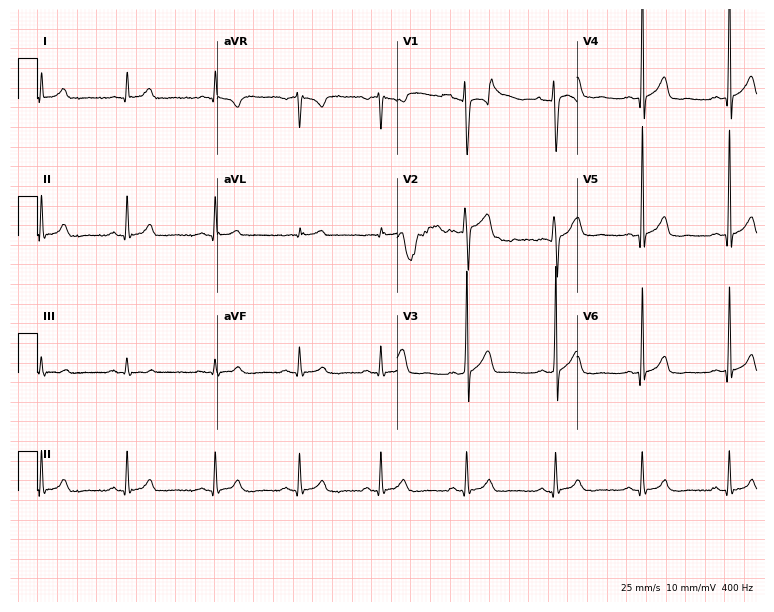
ECG (7.3-second recording at 400 Hz) — a man, 41 years old. Labelled as a normal ECG.